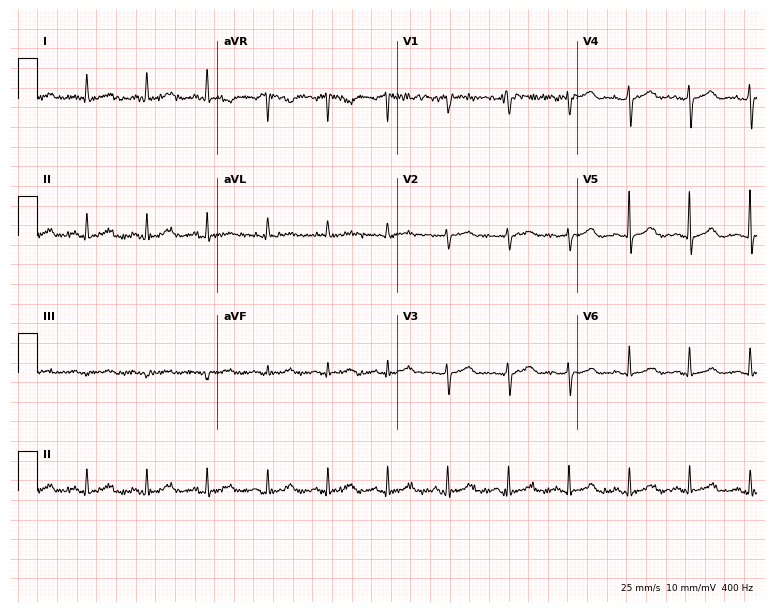
12-lead ECG from a female patient, 75 years old. Labelled as a normal ECG.